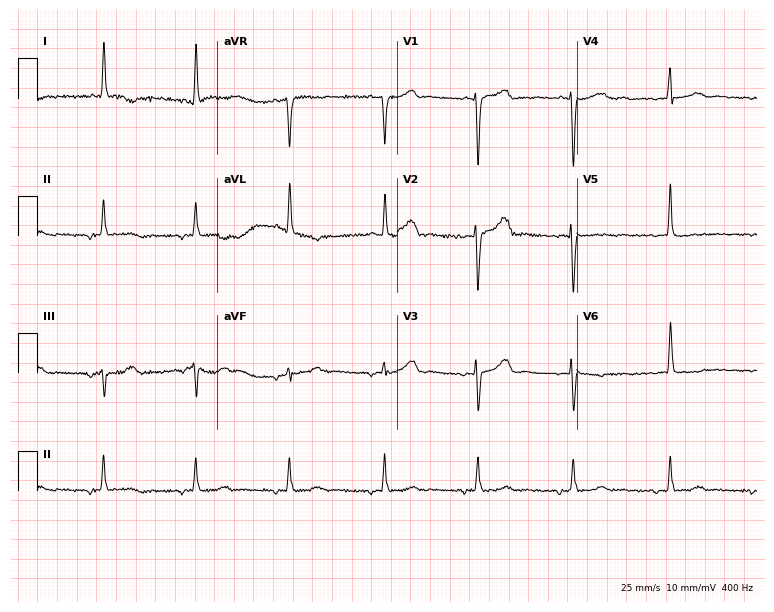
12-lead ECG (7.3-second recording at 400 Hz) from a female patient, 49 years old. Screened for six findings — first-degree AV block, right bundle branch block (RBBB), left bundle branch block (LBBB), sinus bradycardia, atrial fibrillation (AF), sinus tachycardia — none is recorded.